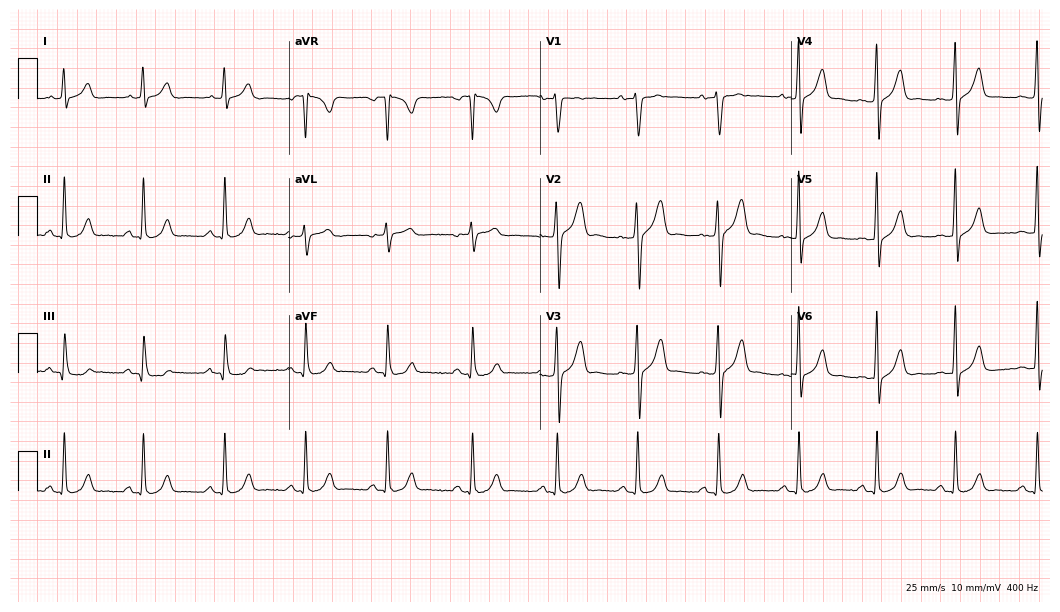
ECG — a 25-year-old man. Labelled as a normal ECG.